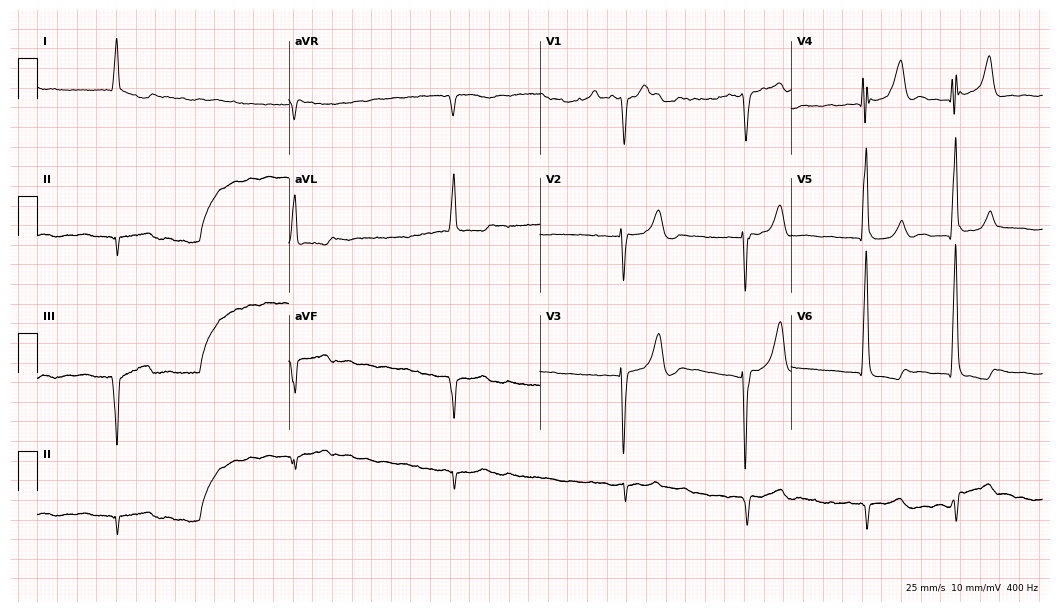
Resting 12-lead electrocardiogram. Patient: a male, 72 years old. The tracing shows atrial fibrillation.